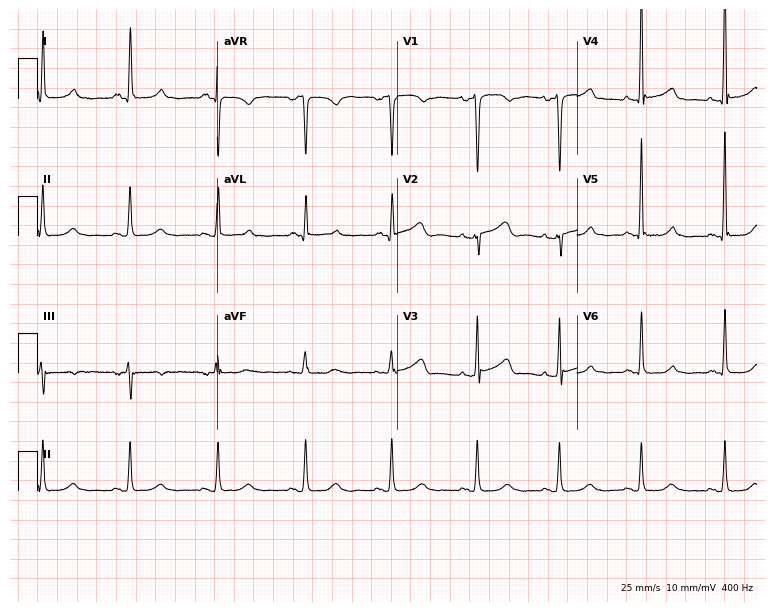
12-lead ECG from a 61-year-old female (7.3-second recording at 400 Hz). No first-degree AV block, right bundle branch block (RBBB), left bundle branch block (LBBB), sinus bradycardia, atrial fibrillation (AF) or sinus tachycardia recorded for this tracing.